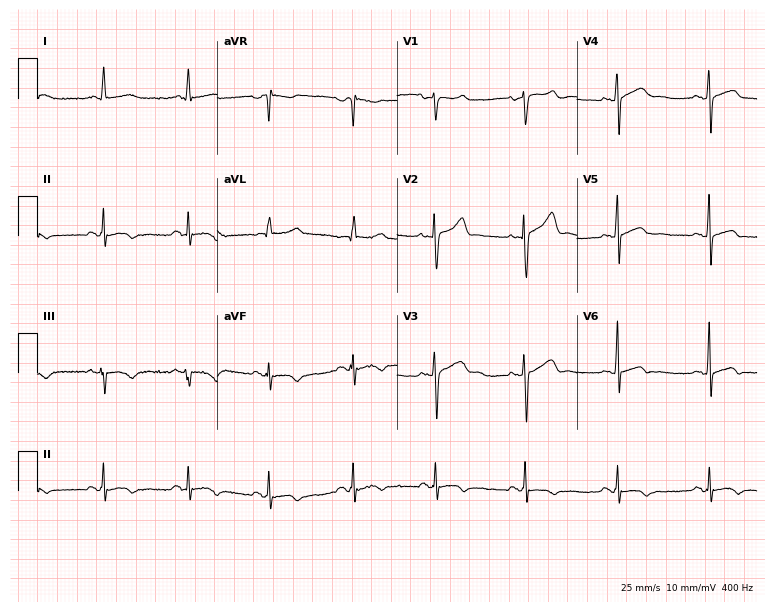
12-lead ECG from a 34-year-old man (7.3-second recording at 400 Hz). Recorded interpretation: within normal limits.